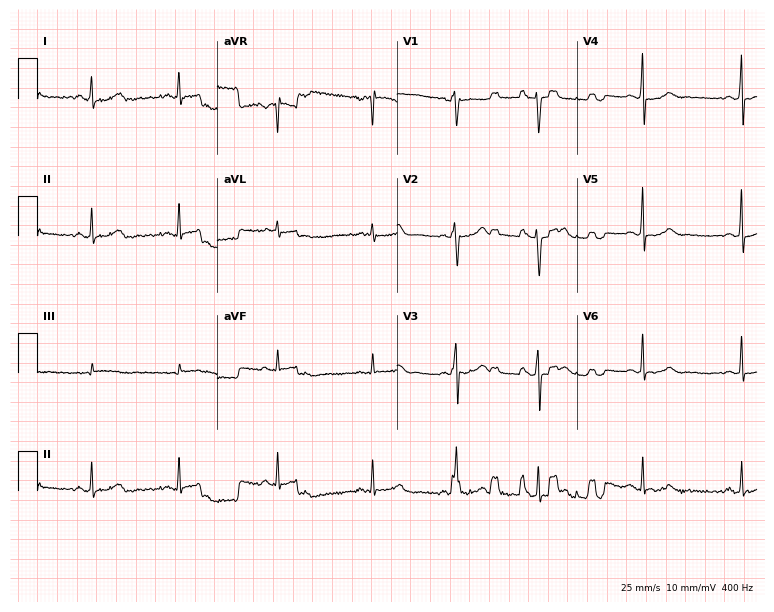
Standard 12-lead ECG recorded from a female, 20 years old. Read as a normal ECG.